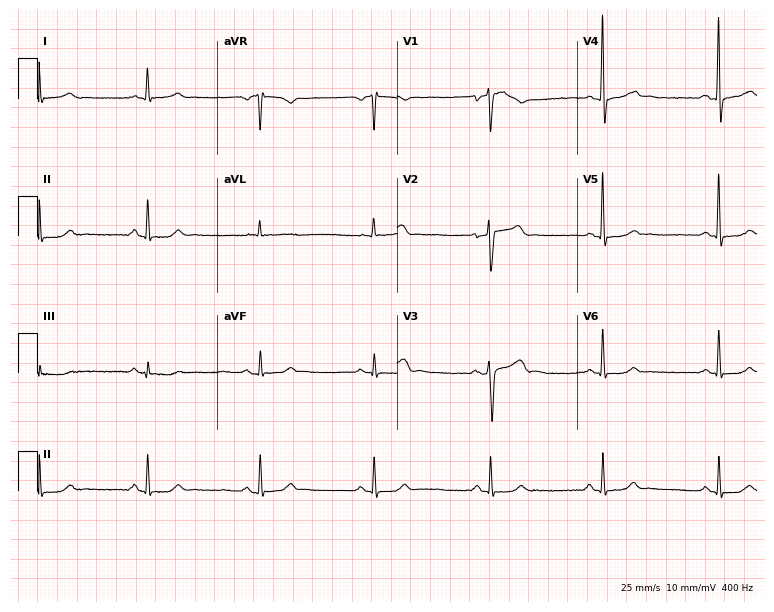
ECG (7.3-second recording at 400 Hz) — a 60-year-old male. Labelled as a normal ECG.